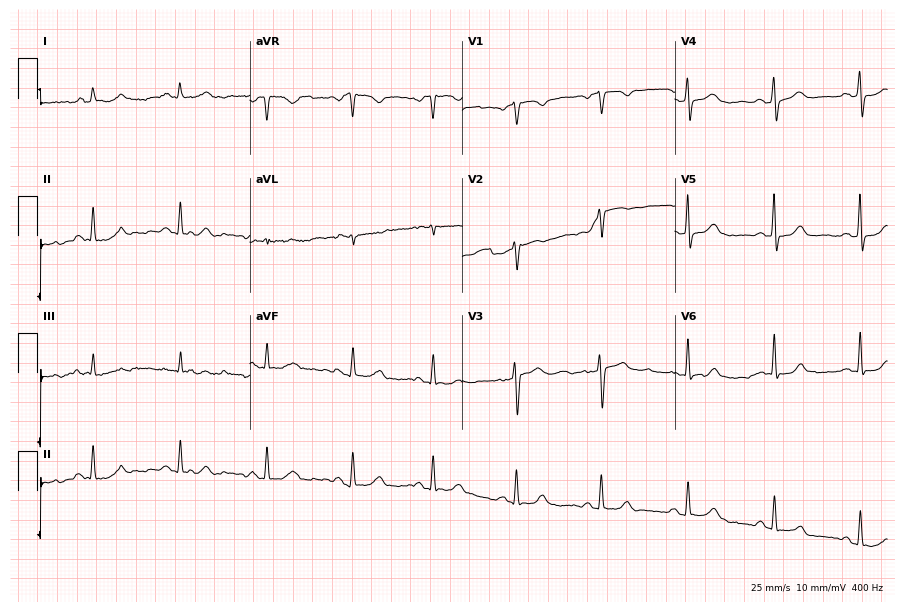
ECG (8.7-second recording at 400 Hz) — a female, 54 years old. Labelled as a normal ECG.